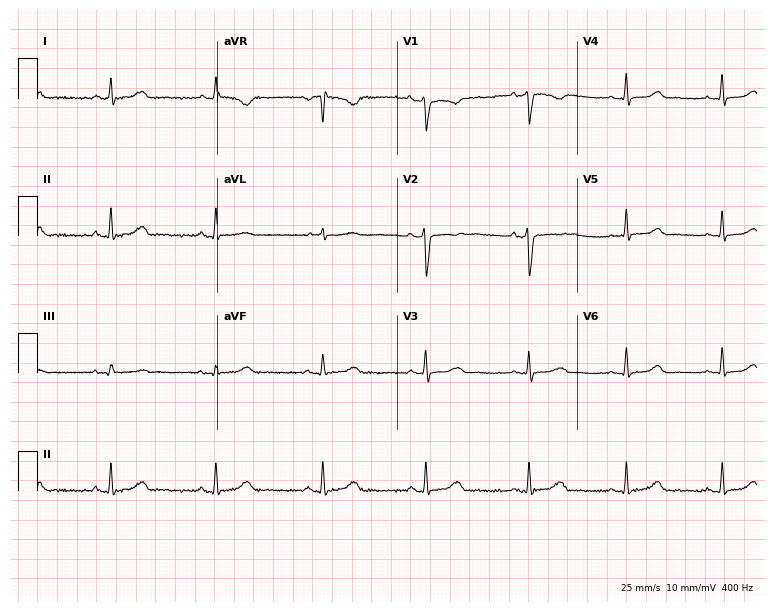
12-lead ECG from a female patient, 37 years old. Recorded interpretation: within normal limits.